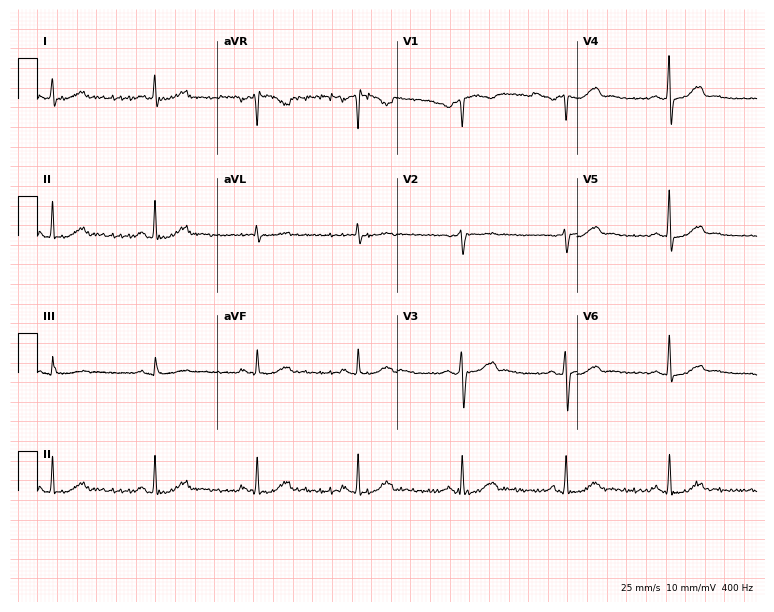
12-lead ECG (7.3-second recording at 400 Hz) from a man, 64 years old. Labelled as a normal ECG.